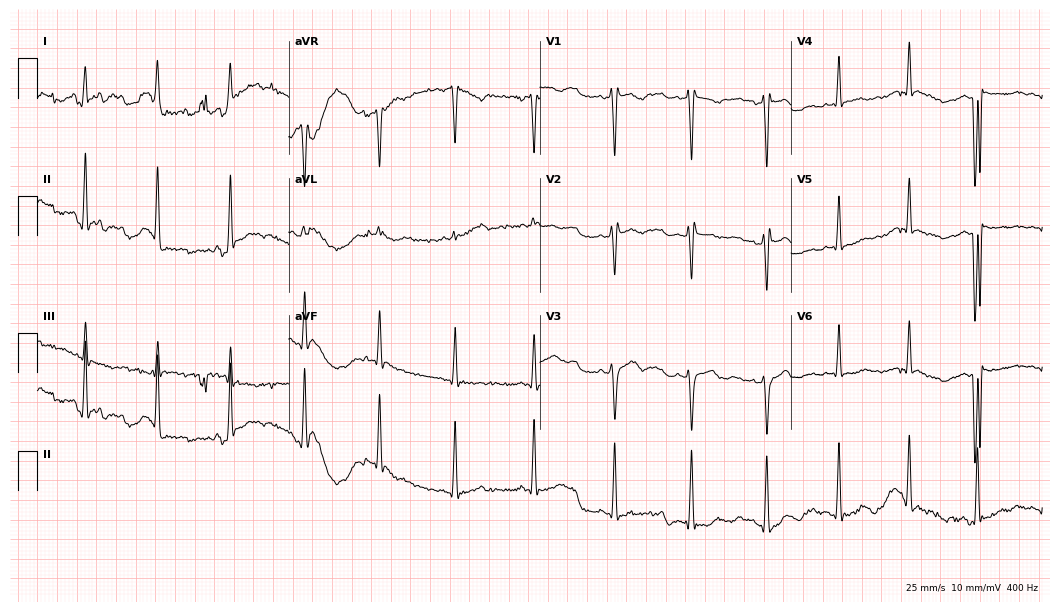
12-lead ECG (10.2-second recording at 400 Hz) from a female, 30 years old. Screened for six findings — first-degree AV block, right bundle branch block, left bundle branch block, sinus bradycardia, atrial fibrillation, sinus tachycardia — none is recorded.